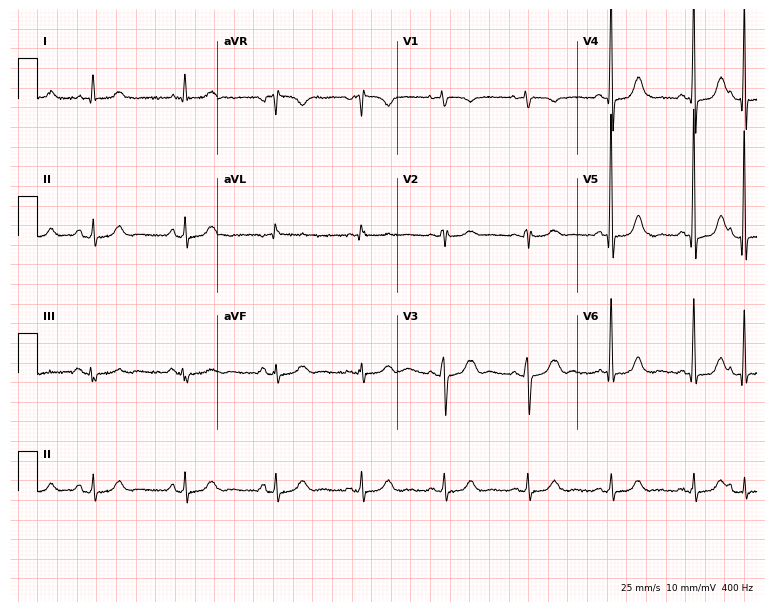
12-lead ECG (7.3-second recording at 400 Hz) from a 57-year-old female patient. Screened for six findings — first-degree AV block, right bundle branch block, left bundle branch block, sinus bradycardia, atrial fibrillation, sinus tachycardia — none is recorded.